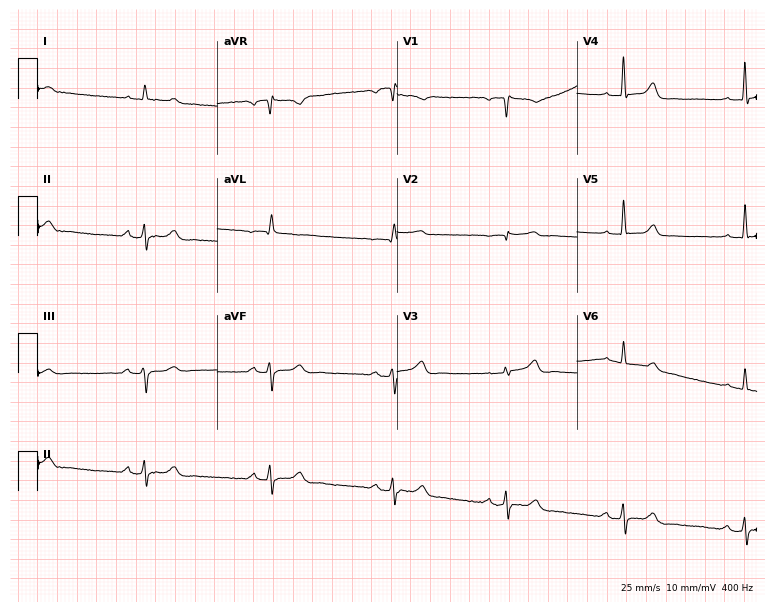
Standard 12-lead ECG recorded from a man, 63 years old. The tracing shows sinus bradycardia (a sinus rate of 50 beats per minute or less).